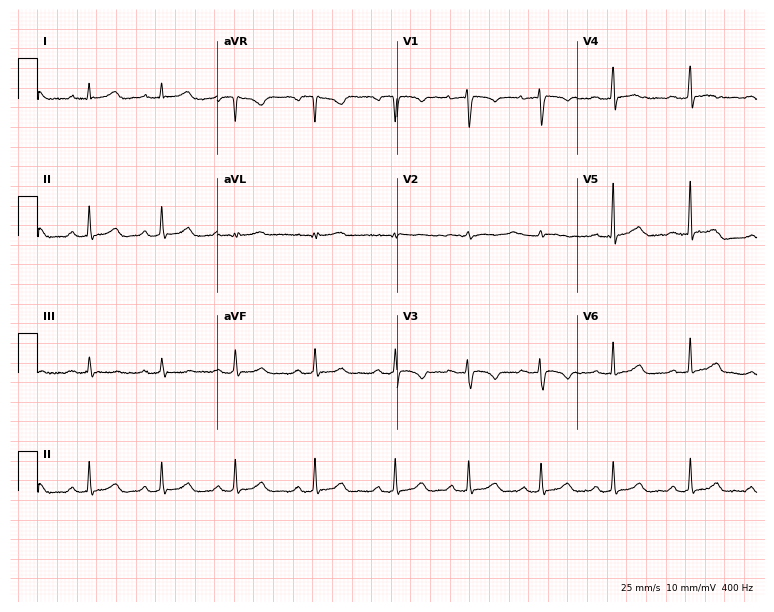
ECG (7.3-second recording at 400 Hz) — a woman, 49 years old. Screened for six findings — first-degree AV block, right bundle branch block, left bundle branch block, sinus bradycardia, atrial fibrillation, sinus tachycardia — none is recorded.